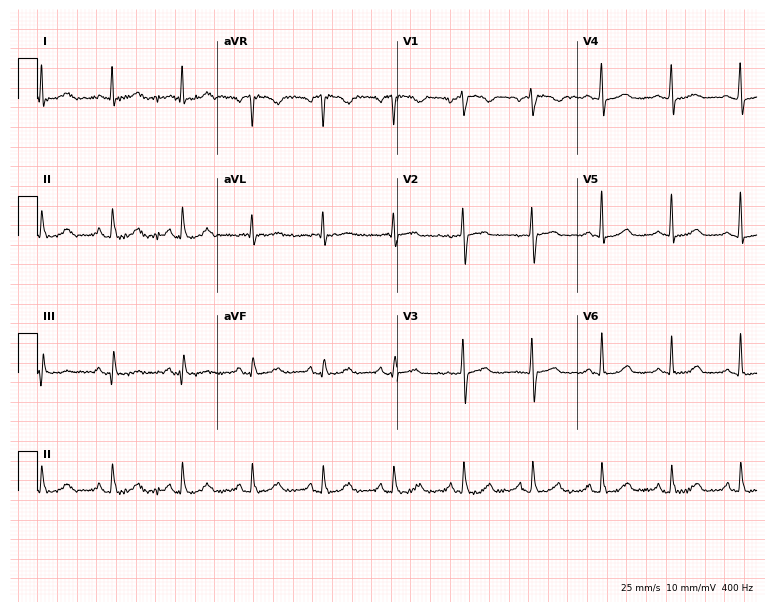
Electrocardiogram, a 62-year-old female patient. Of the six screened findings (first-degree AV block, right bundle branch block (RBBB), left bundle branch block (LBBB), sinus bradycardia, atrial fibrillation (AF), sinus tachycardia), none is recorded.